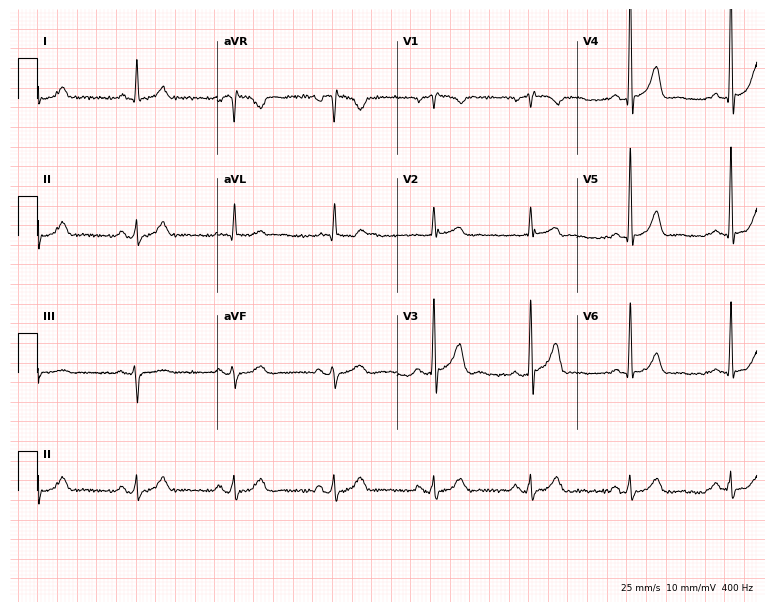
12-lead ECG from a male patient, 68 years old (7.3-second recording at 400 Hz). No first-degree AV block, right bundle branch block, left bundle branch block, sinus bradycardia, atrial fibrillation or sinus tachycardia recorded for this tracing. Findings outside these six are not listed.